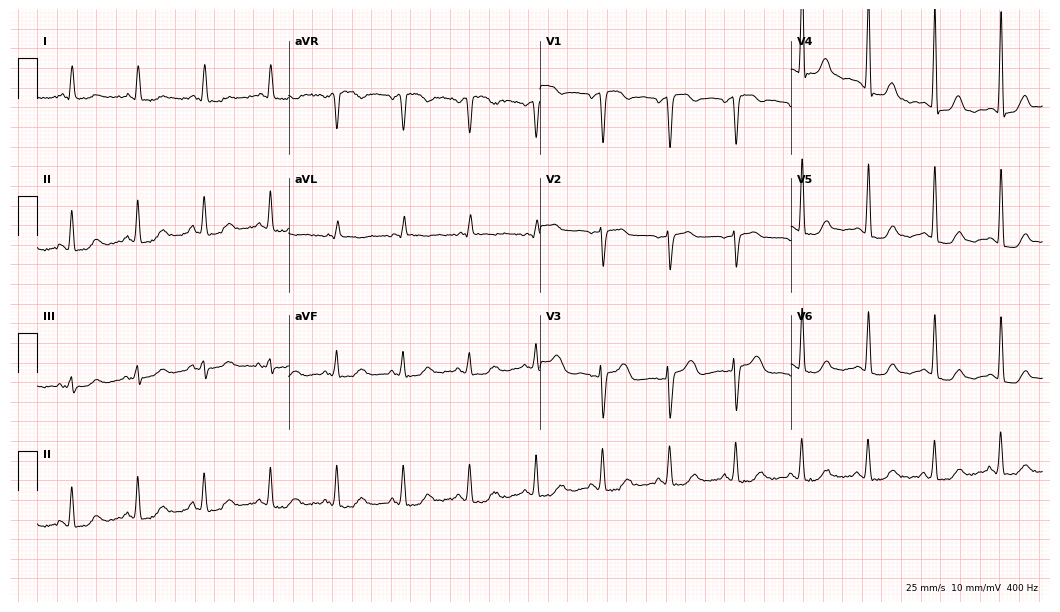
12-lead ECG from a 78-year-old female. No first-degree AV block, right bundle branch block, left bundle branch block, sinus bradycardia, atrial fibrillation or sinus tachycardia recorded for this tracing.